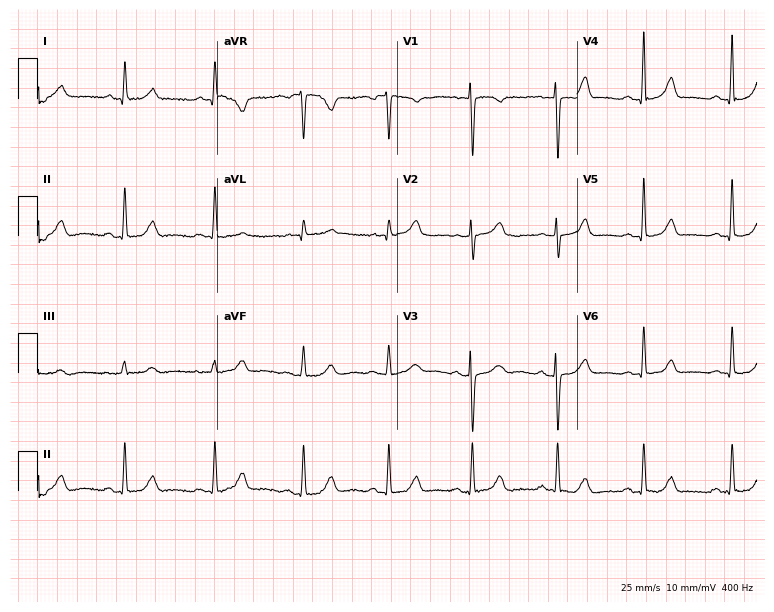
Standard 12-lead ECG recorded from a woman, 73 years old. Read as a normal ECG.